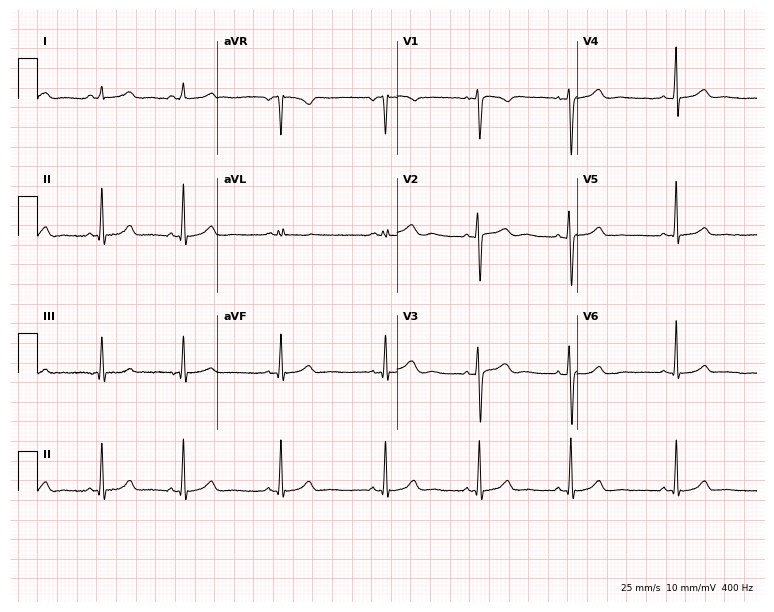
Standard 12-lead ECG recorded from a 29-year-old female patient. Read as a normal ECG.